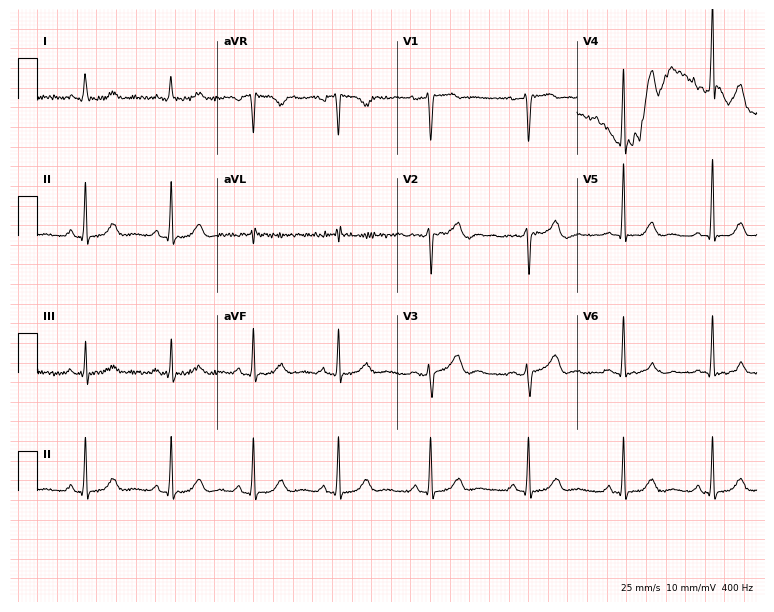
Resting 12-lead electrocardiogram. Patient: a female, 48 years old. Read as a normal ECG.